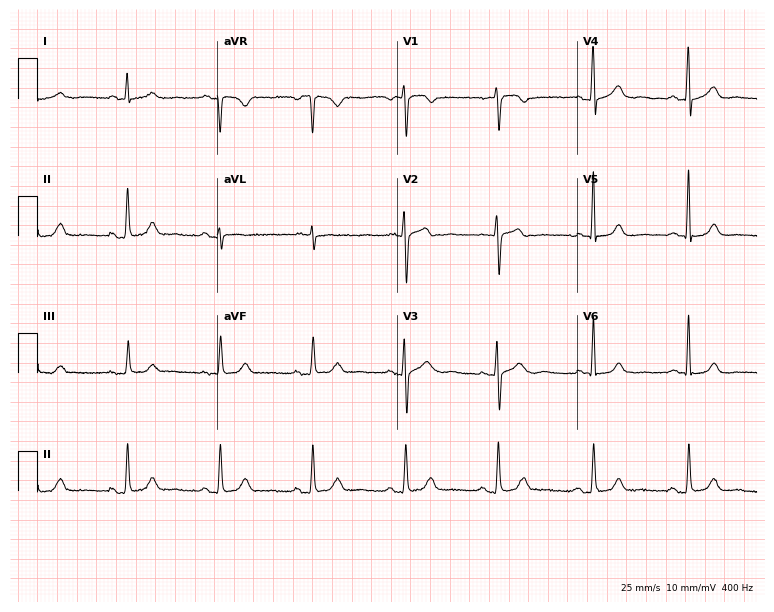
Resting 12-lead electrocardiogram. Patient: a 66-year-old female. Read as a normal ECG.